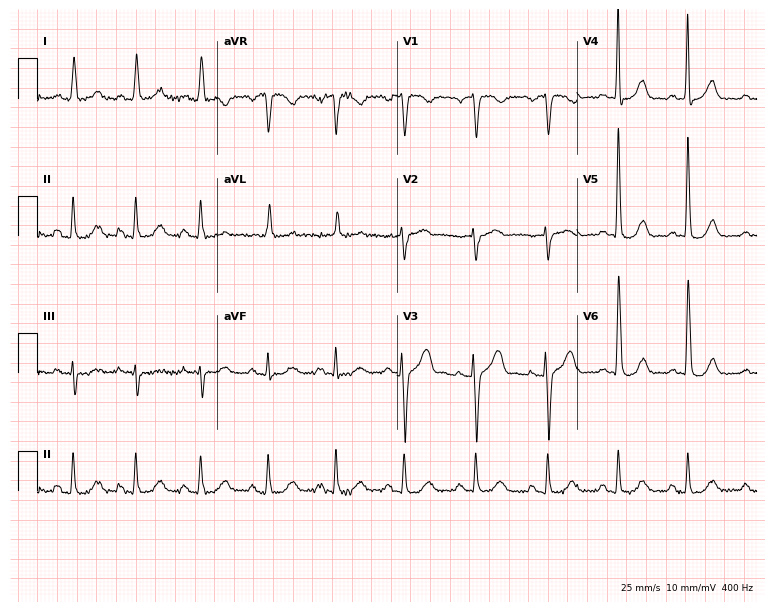
ECG — a 67-year-old woman. Labelled as a normal ECG.